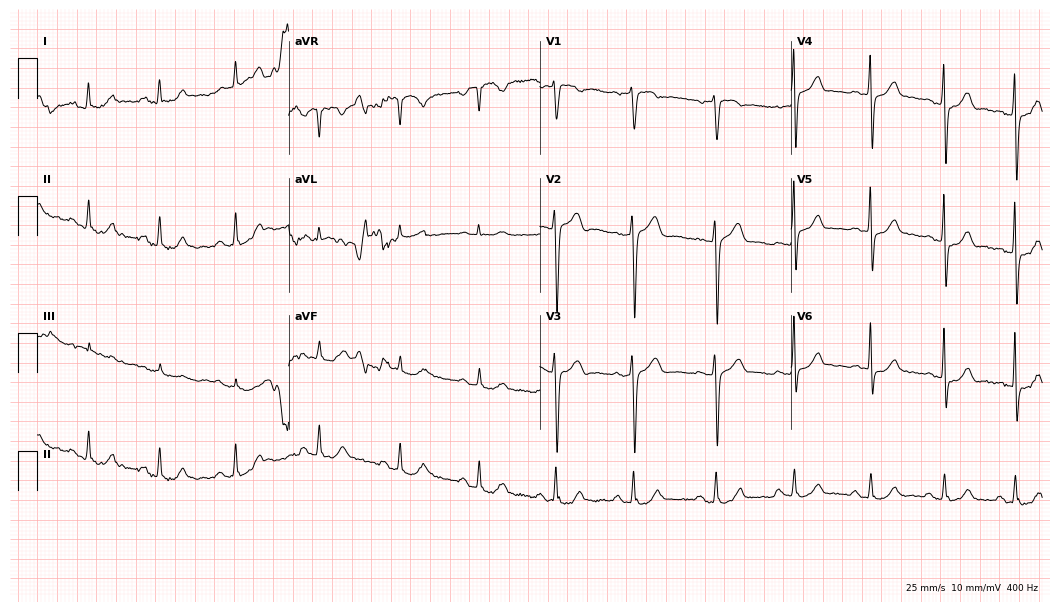
Standard 12-lead ECG recorded from a male patient, 54 years old. Read as a normal ECG.